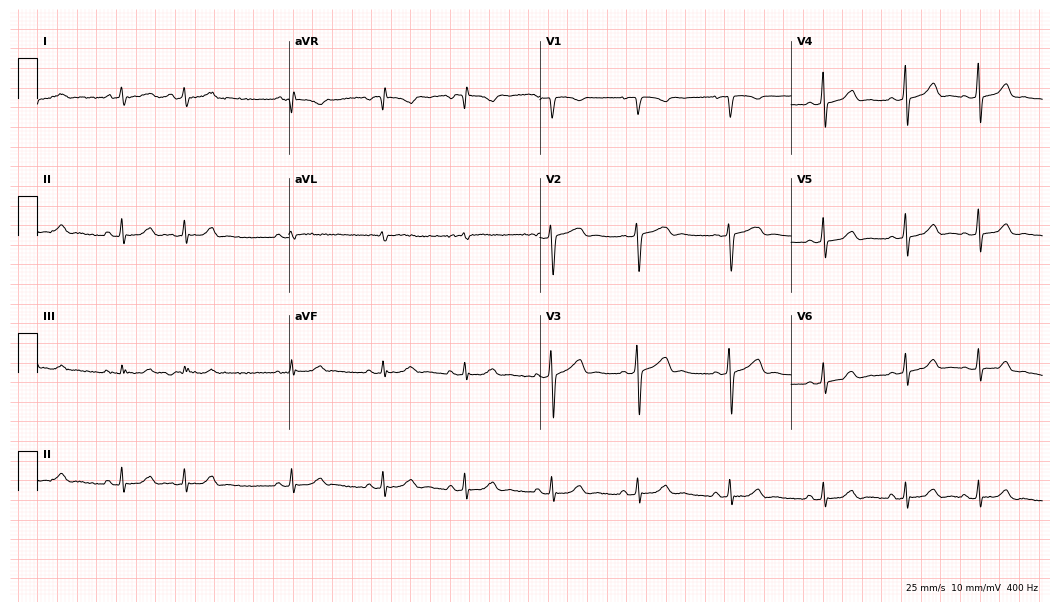
Resting 12-lead electrocardiogram (10.2-second recording at 400 Hz). Patient: a 23-year-old woman. None of these six findings is recorded: first-degree AV block, right bundle branch block, left bundle branch block, sinus bradycardia, atrial fibrillation, sinus tachycardia. Only these six findings were labelled.